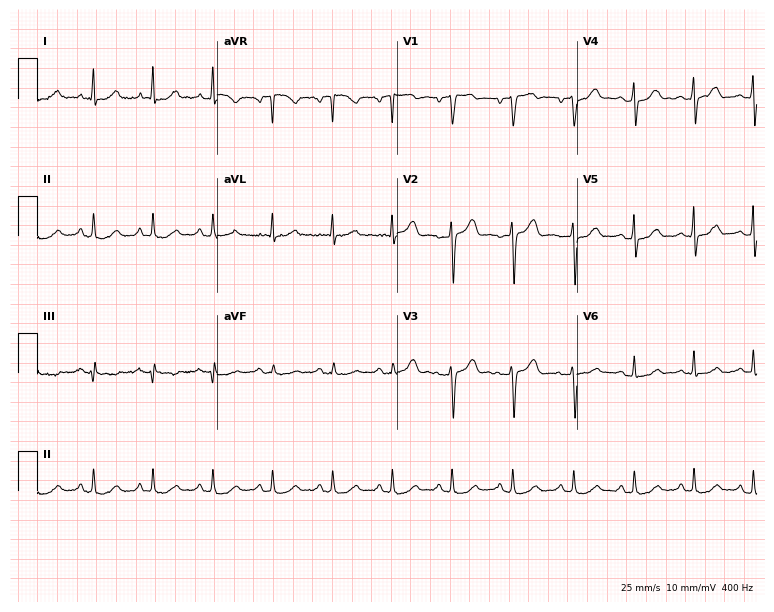
Standard 12-lead ECG recorded from a 49-year-old female. None of these six findings is recorded: first-degree AV block, right bundle branch block, left bundle branch block, sinus bradycardia, atrial fibrillation, sinus tachycardia. Only these six findings were labelled.